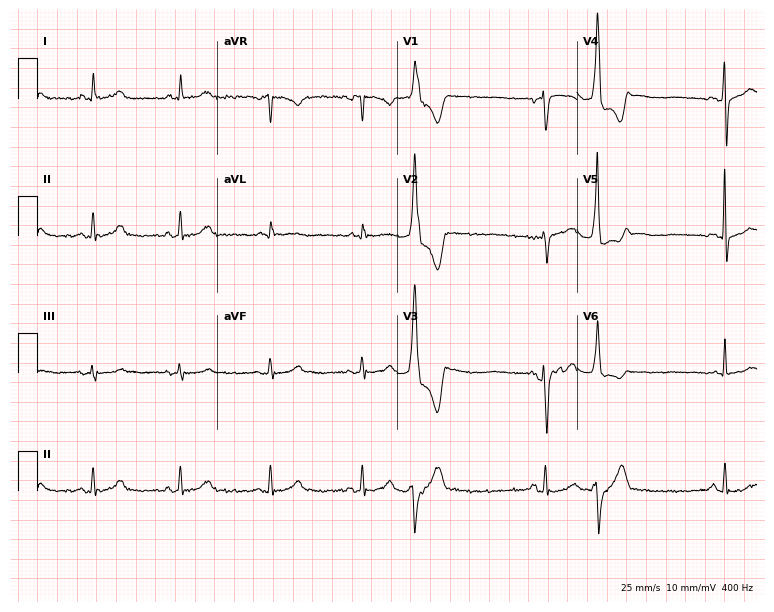
Standard 12-lead ECG recorded from a female, 76 years old. None of these six findings is recorded: first-degree AV block, right bundle branch block, left bundle branch block, sinus bradycardia, atrial fibrillation, sinus tachycardia. Findings outside these six are not listed.